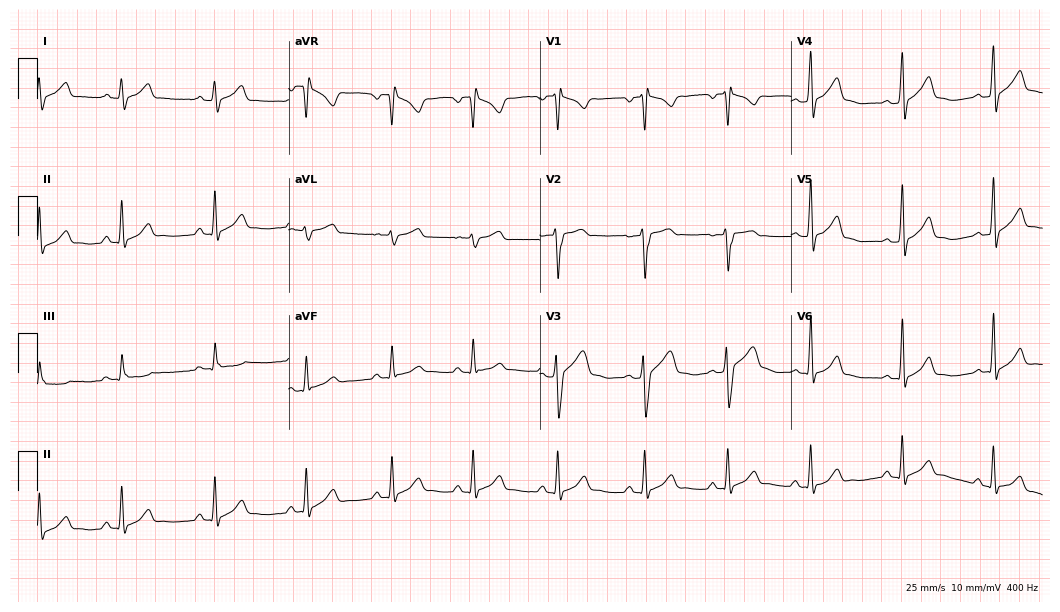
Standard 12-lead ECG recorded from a 25-year-old male patient (10.2-second recording at 400 Hz). Read as a normal ECG.